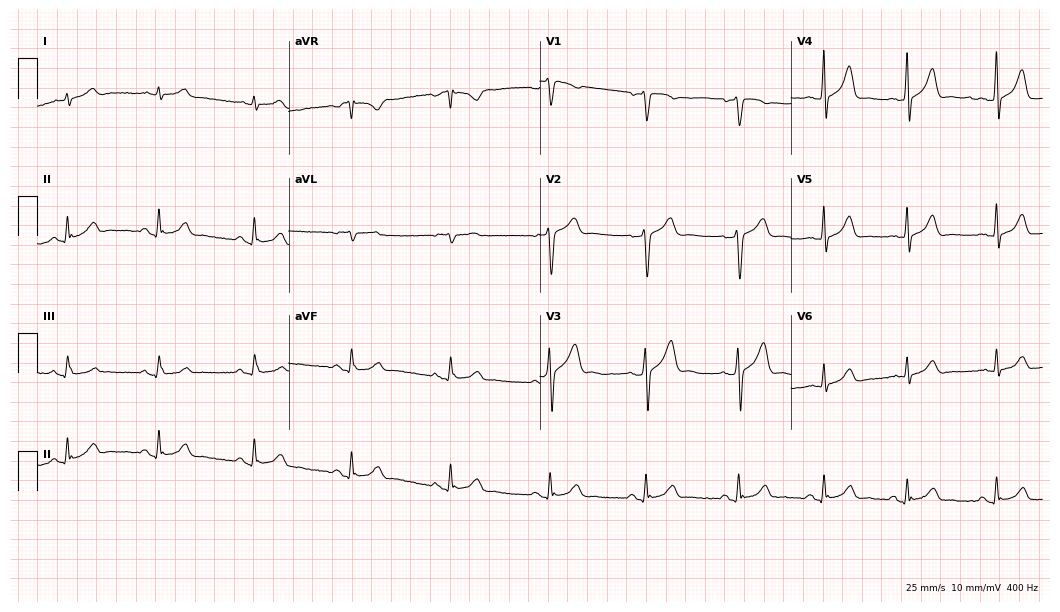
Electrocardiogram (10.2-second recording at 400 Hz), a 48-year-old male. Overall reading on record: normal ECG.